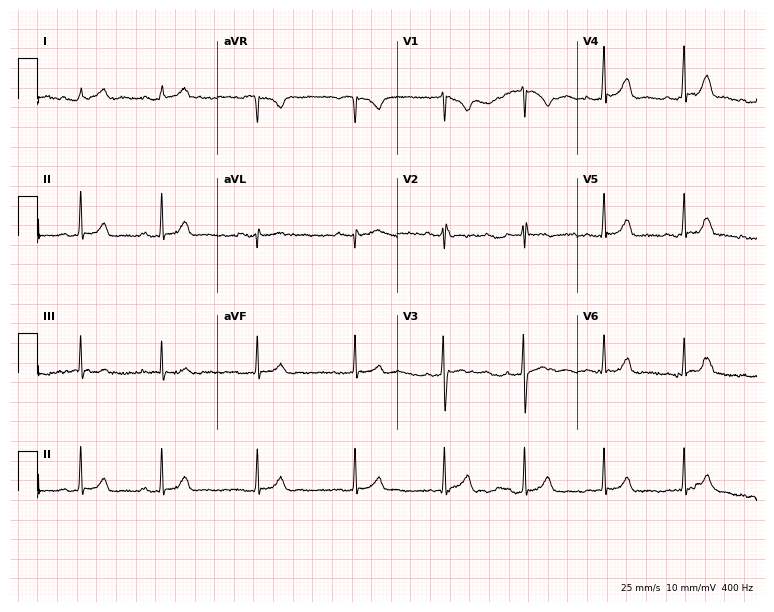
ECG (7.3-second recording at 400 Hz) — a female, 23 years old. Labelled as a normal ECG.